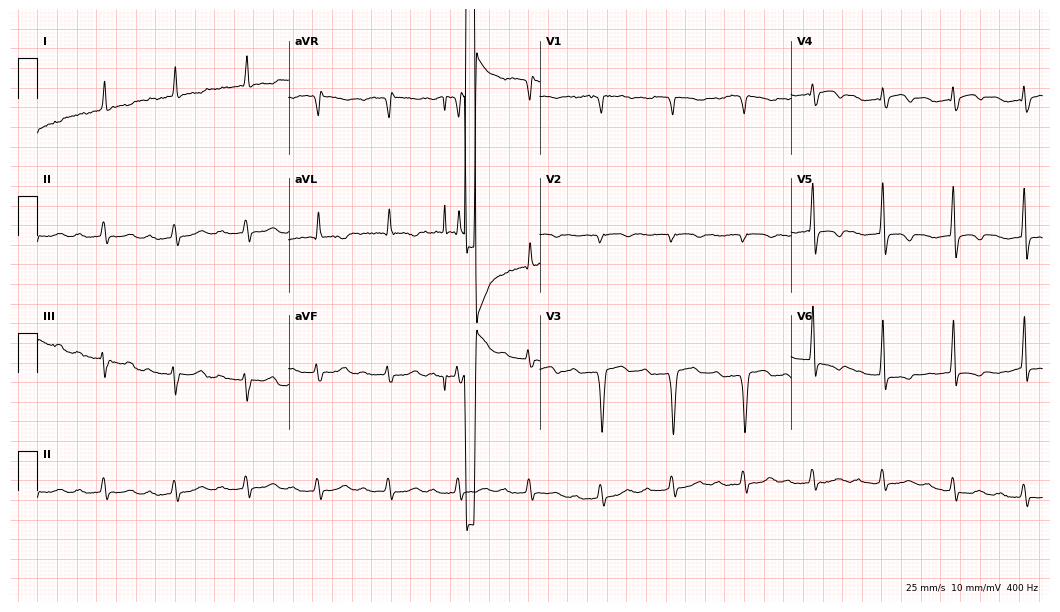
12-lead ECG from an 85-year-old woman (10.2-second recording at 400 Hz). Shows first-degree AV block.